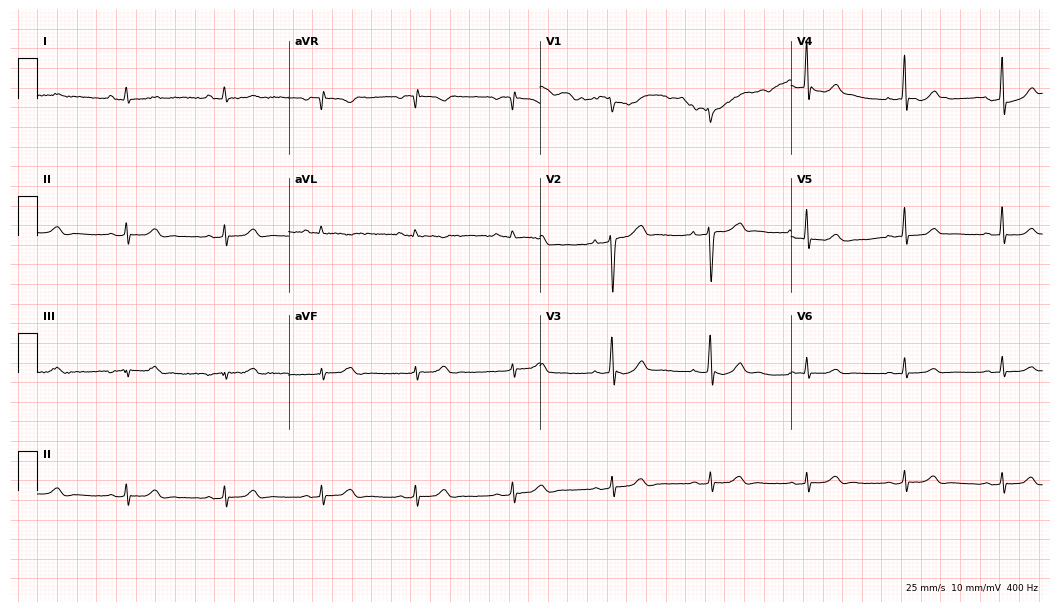
Standard 12-lead ECG recorded from a 27-year-old female patient. None of these six findings is recorded: first-degree AV block, right bundle branch block, left bundle branch block, sinus bradycardia, atrial fibrillation, sinus tachycardia.